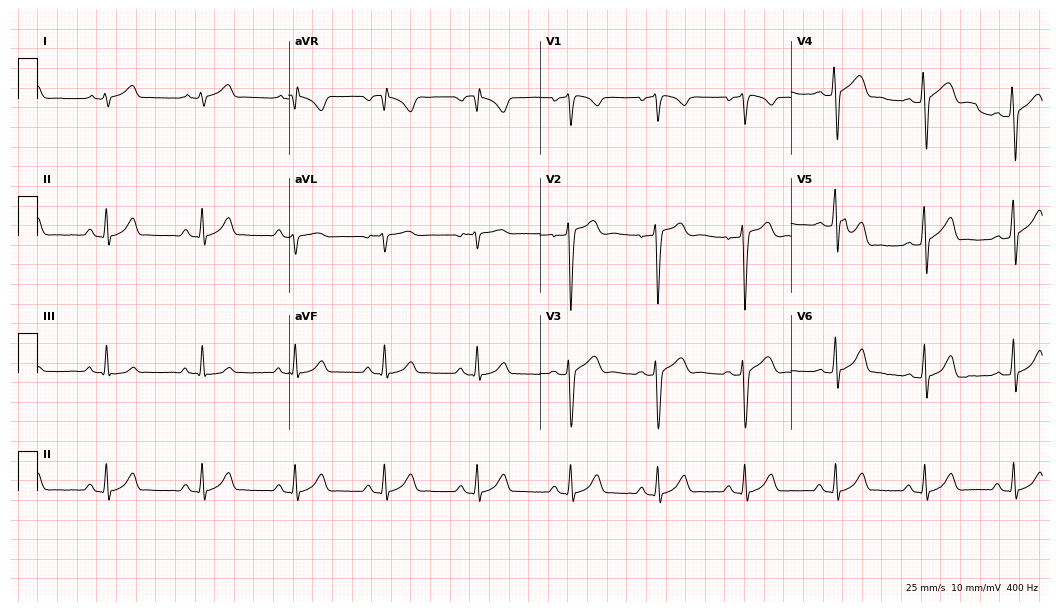
Electrocardiogram (10.2-second recording at 400 Hz), a 21-year-old man. Overall reading on record: normal ECG.